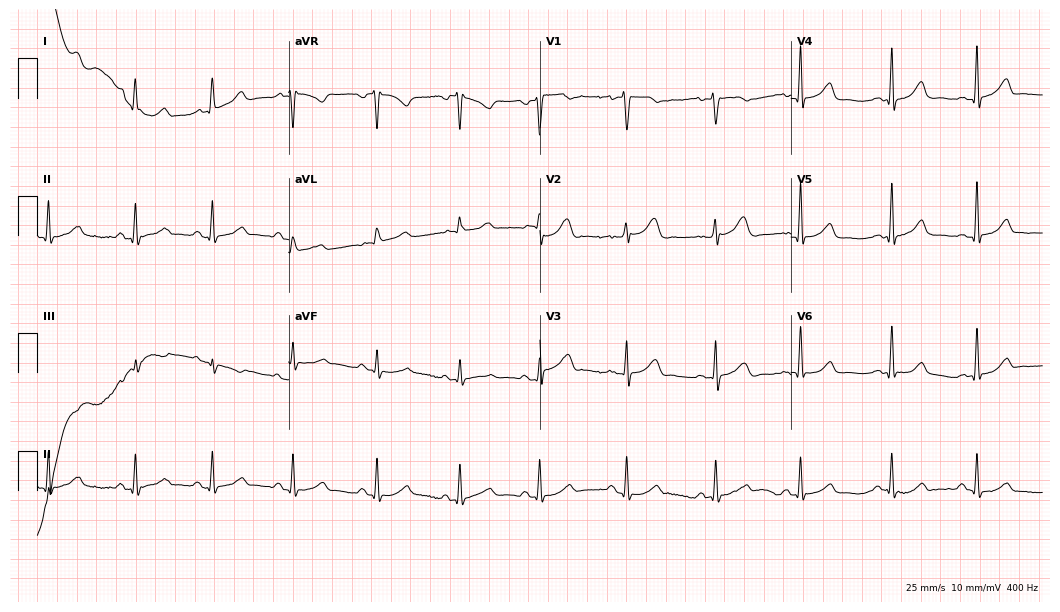
12-lead ECG from a 42-year-old female. Recorded interpretation: within normal limits.